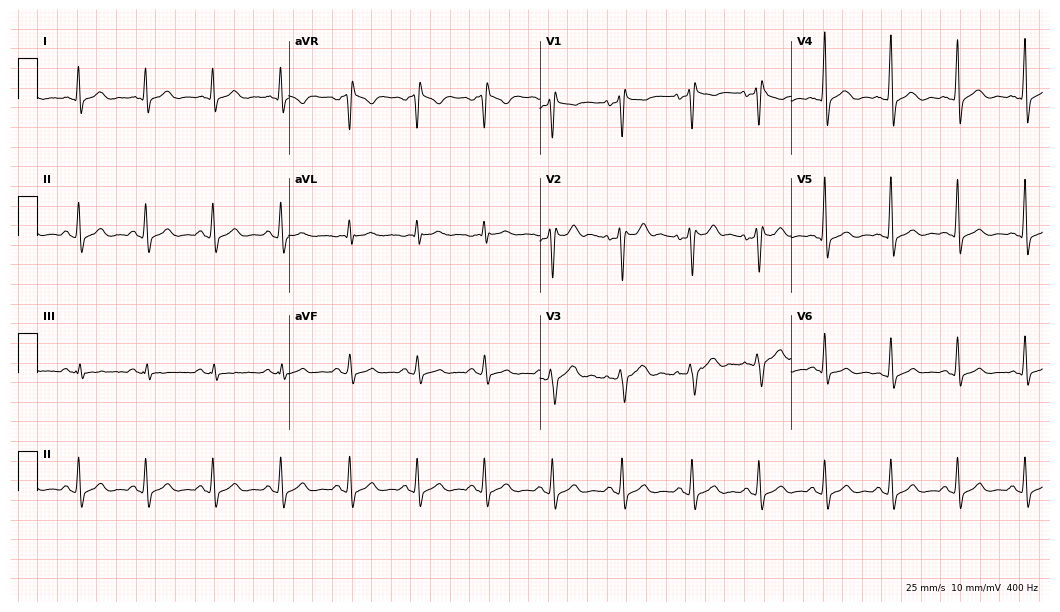
Resting 12-lead electrocardiogram (10.2-second recording at 400 Hz). Patient: a man, 28 years old. None of these six findings is recorded: first-degree AV block, right bundle branch block (RBBB), left bundle branch block (LBBB), sinus bradycardia, atrial fibrillation (AF), sinus tachycardia. Only these six findings were labelled.